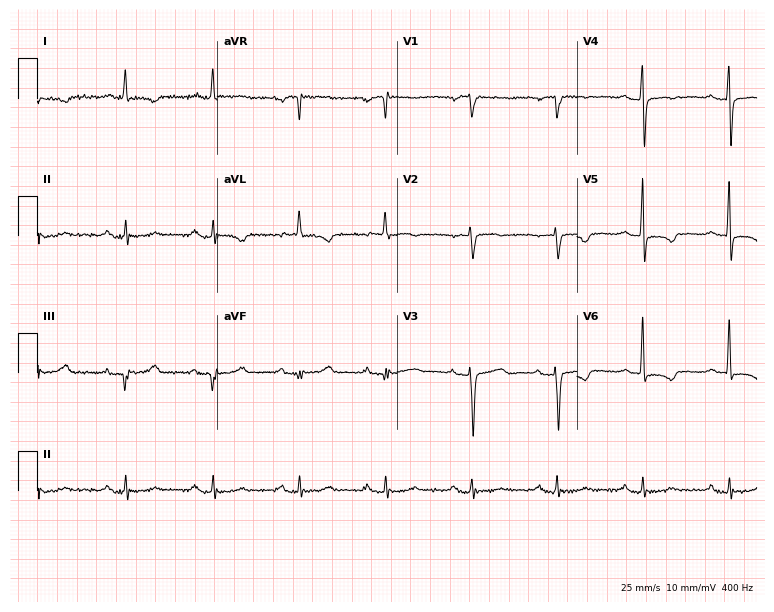
12-lead ECG from a female patient, 65 years old (7.3-second recording at 400 Hz). Recorded interpretation: within normal limits.